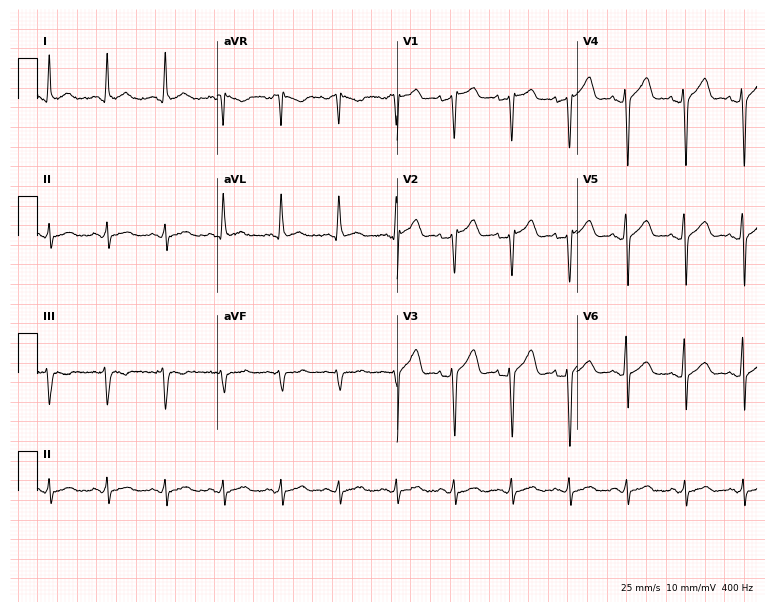
Electrocardiogram (7.3-second recording at 400 Hz), a 40-year-old man. Interpretation includes sinus tachycardia (a sinus rate of 100 beats per minute or more).